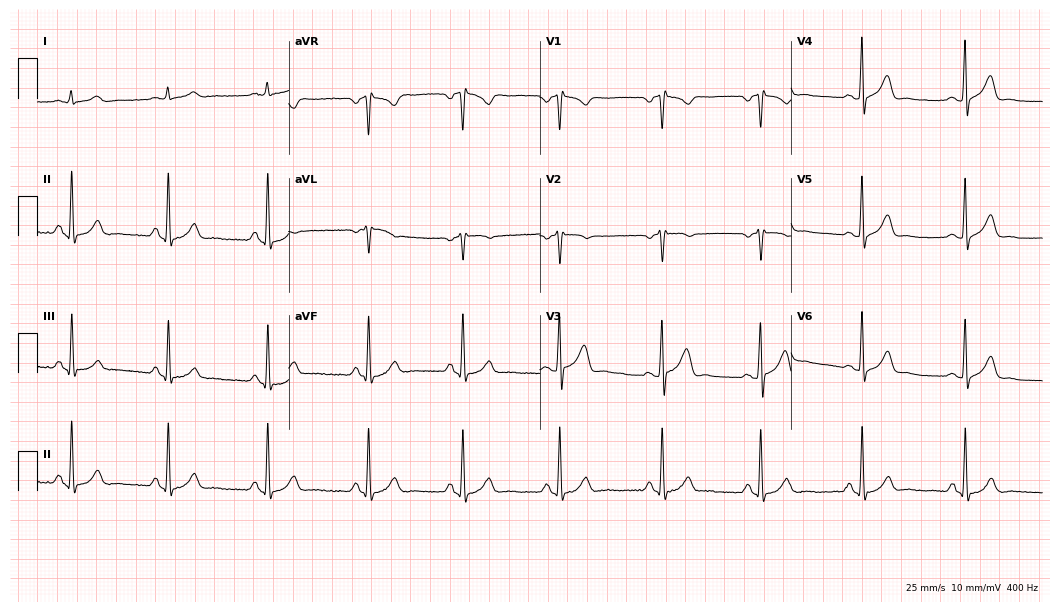
Resting 12-lead electrocardiogram. Patient: a male, 45 years old. Read as a normal ECG.